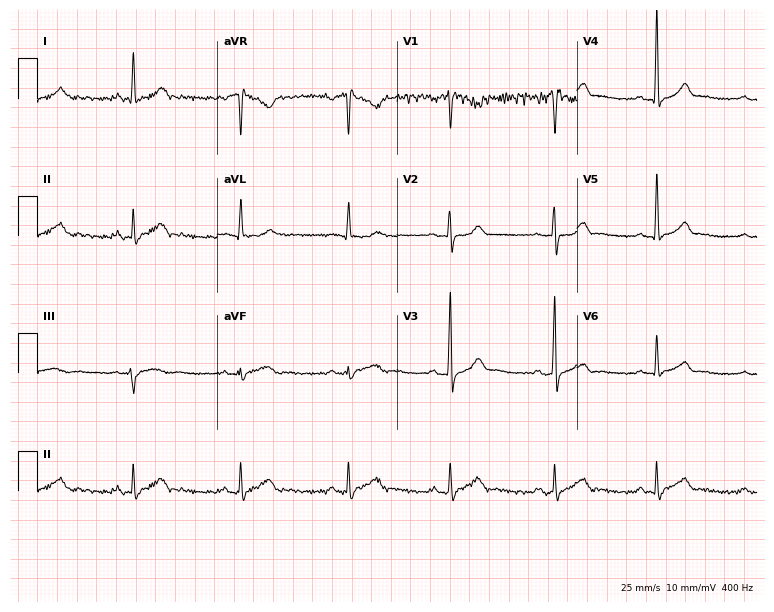
12-lead ECG from a man, 47 years old (7.3-second recording at 400 Hz). Recorded interpretation: within normal limits.